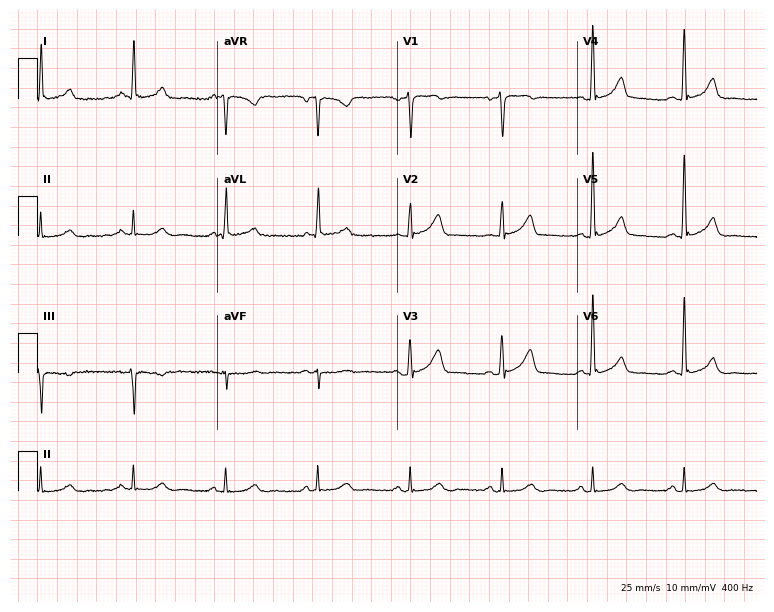
Standard 12-lead ECG recorded from a 56-year-old man. Read as a normal ECG.